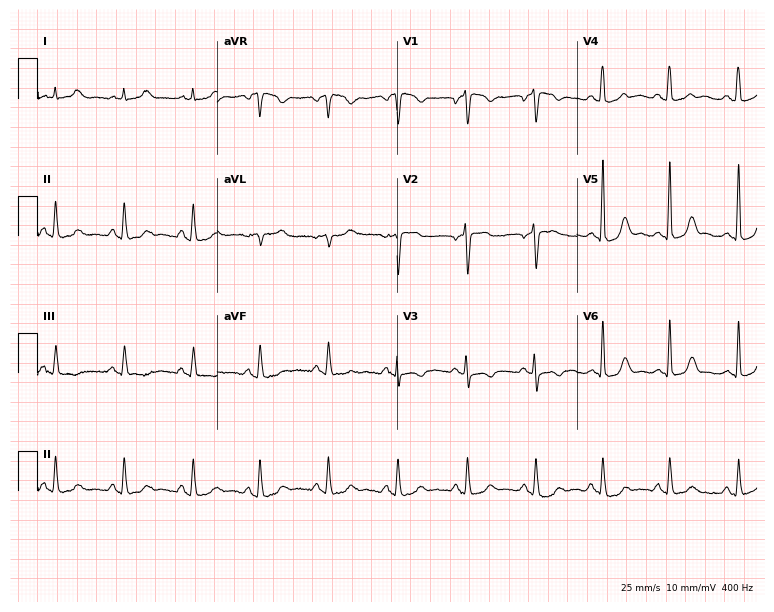
Electrocardiogram, a 36-year-old woman. Overall reading on record: normal ECG.